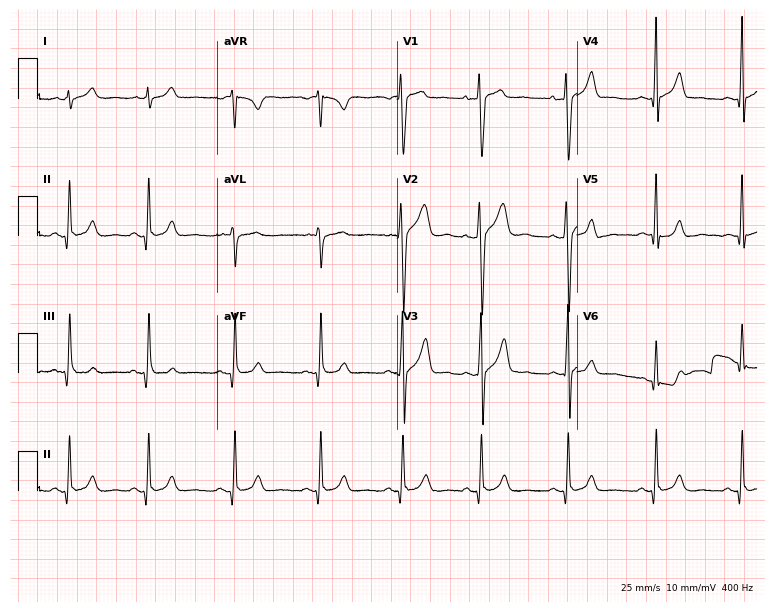
12-lead ECG (7.3-second recording at 400 Hz) from a male patient, 28 years old. Screened for six findings — first-degree AV block, right bundle branch block (RBBB), left bundle branch block (LBBB), sinus bradycardia, atrial fibrillation (AF), sinus tachycardia — none is recorded.